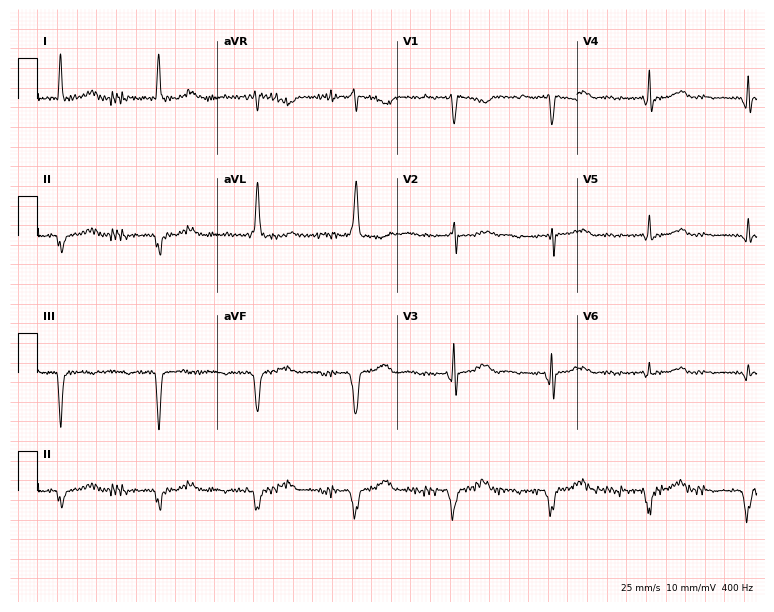
Electrocardiogram (7.3-second recording at 400 Hz), a 67-year-old male patient. Of the six screened findings (first-degree AV block, right bundle branch block (RBBB), left bundle branch block (LBBB), sinus bradycardia, atrial fibrillation (AF), sinus tachycardia), none is recorded.